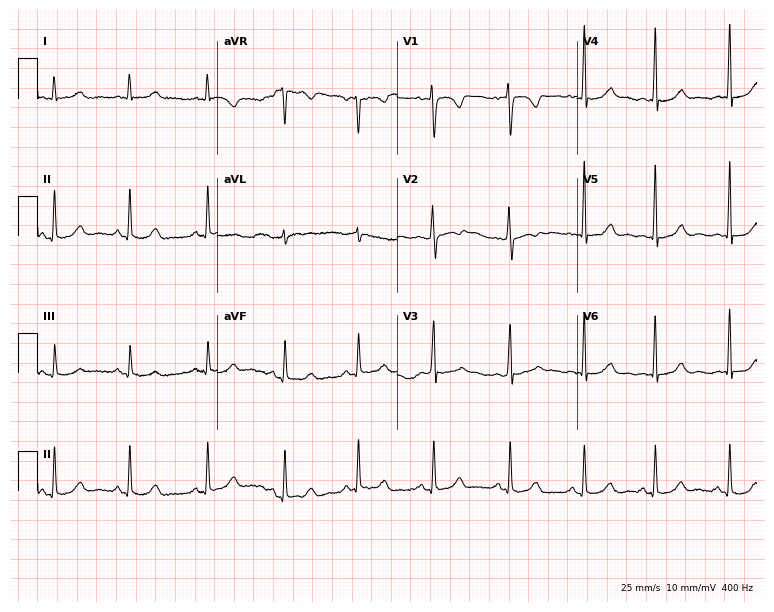
Resting 12-lead electrocardiogram. Patient: a female, 33 years old. None of these six findings is recorded: first-degree AV block, right bundle branch block, left bundle branch block, sinus bradycardia, atrial fibrillation, sinus tachycardia.